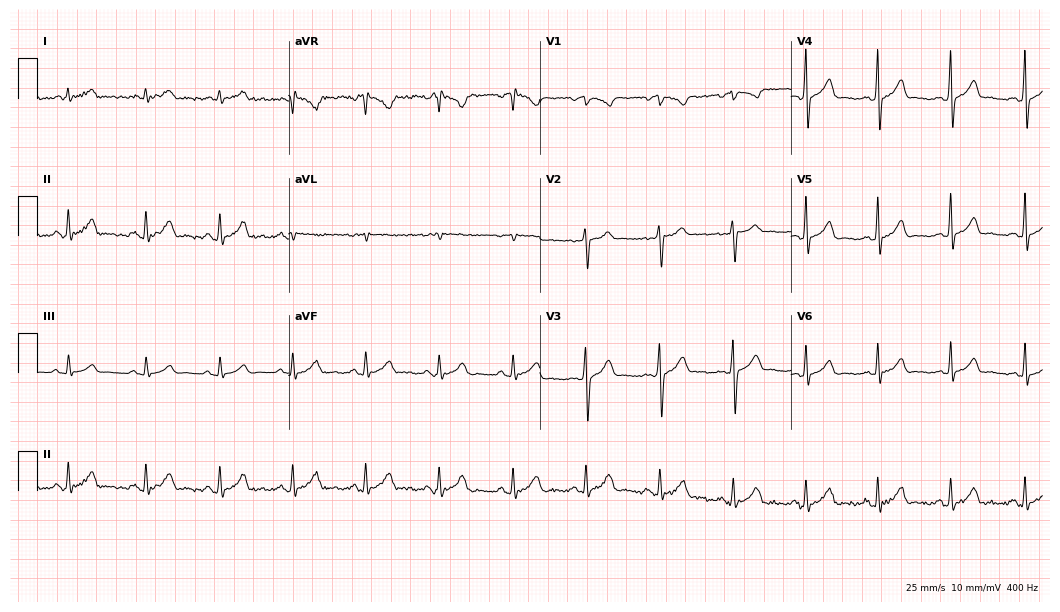
12-lead ECG from a 24-year-old man (10.2-second recording at 400 Hz). No first-degree AV block, right bundle branch block, left bundle branch block, sinus bradycardia, atrial fibrillation or sinus tachycardia recorded for this tracing. Findings outside these six are not listed.